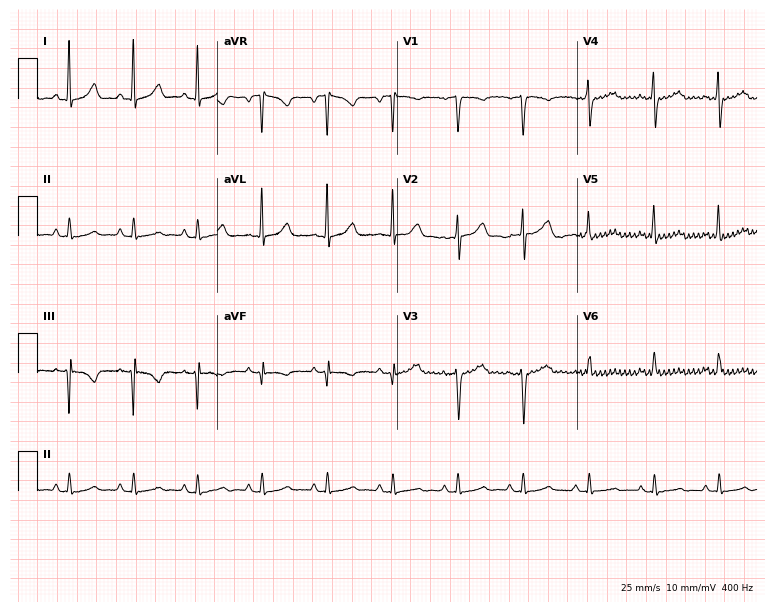
Resting 12-lead electrocardiogram. Patient: a female, 51 years old. None of these six findings is recorded: first-degree AV block, right bundle branch block, left bundle branch block, sinus bradycardia, atrial fibrillation, sinus tachycardia.